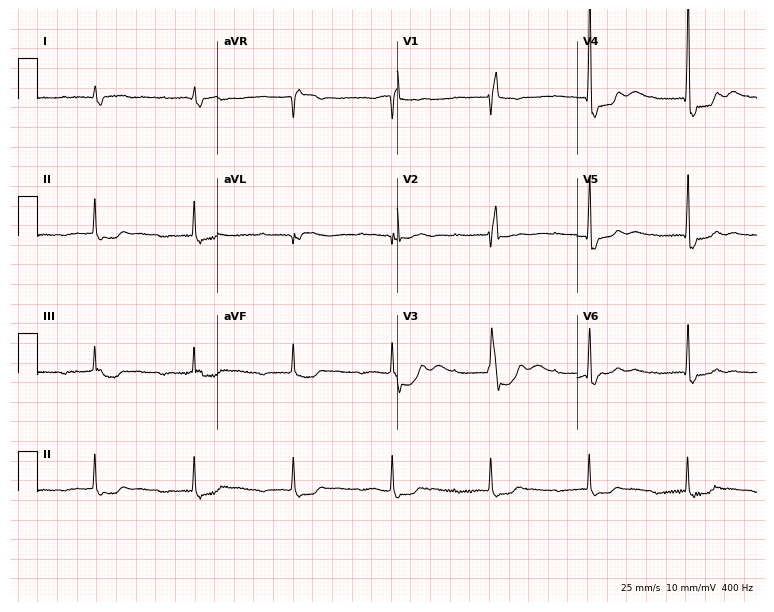
ECG — a 78-year-old male patient. Screened for six findings — first-degree AV block, right bundle branch block, left bundle branch block, sinus bradycardia, atrial fibrillation, sinus tachycardia — none is recorded. Other findings, if any, are not listed.